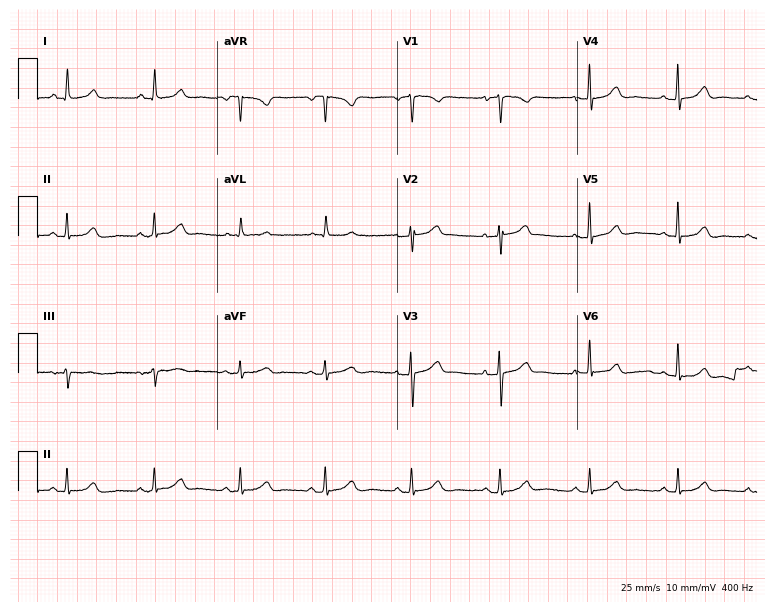
Standard 12-lead ECG recorded from a female, 61 years old (7.3-second recording at 400 Hz). Read as a normal ECG.